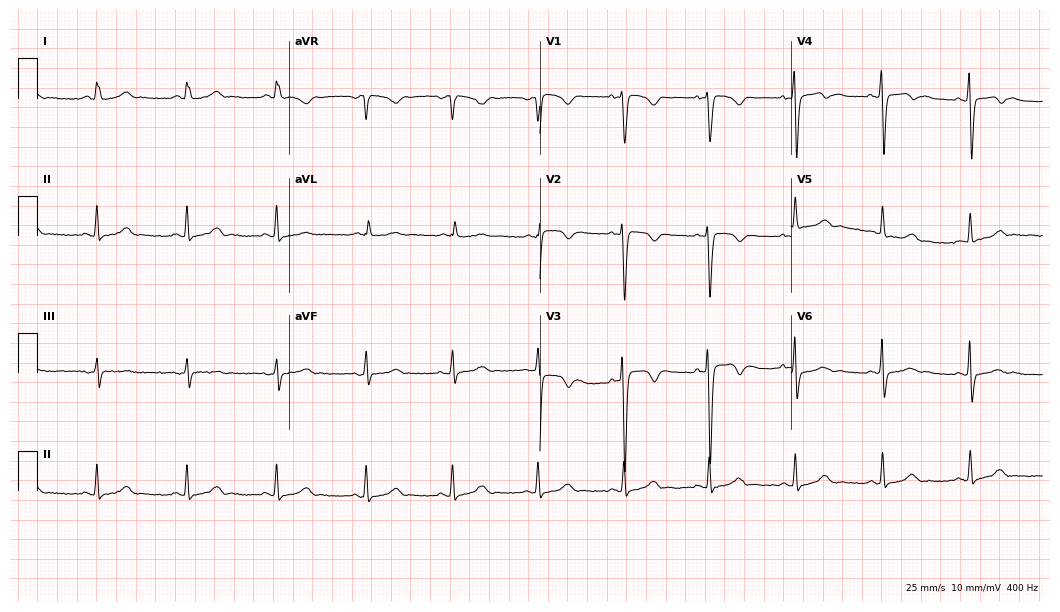
Standard 12-lead ECG recorded from a 56-year-old male (10.2-second recording at 400 Hz). None of these six findings is recorded: first-degree AV block, right bundle branch block, left bundle branch block, sinus bradycardia, atrial fibrillation, sinus tachycardia.